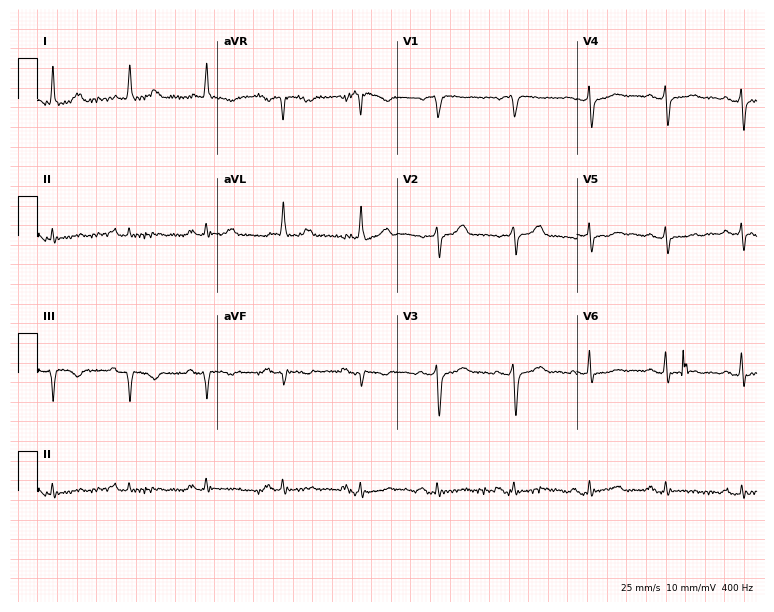
12-lead ECG (7.3-second recording at 400 Hz) from a 70-year-old woman. Screened for six findings — first-degree AV block, right bundle branch block, left bundle branch block, sinus bradycardia, atrial fibrillation, sinus tachycardia — none is recorded.